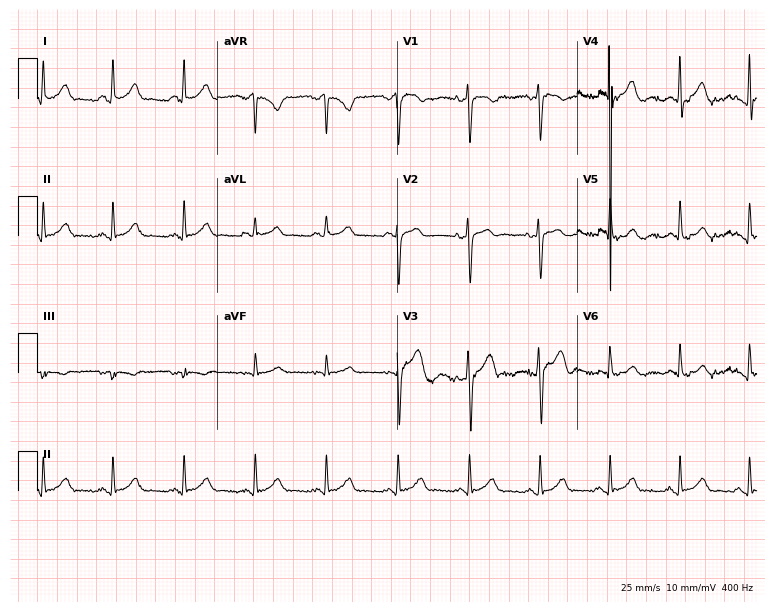
Standard 12-lead ECG recorded from a female, 40 years old (7.3-second recording at 400 Hz). Read as a normal ECG.